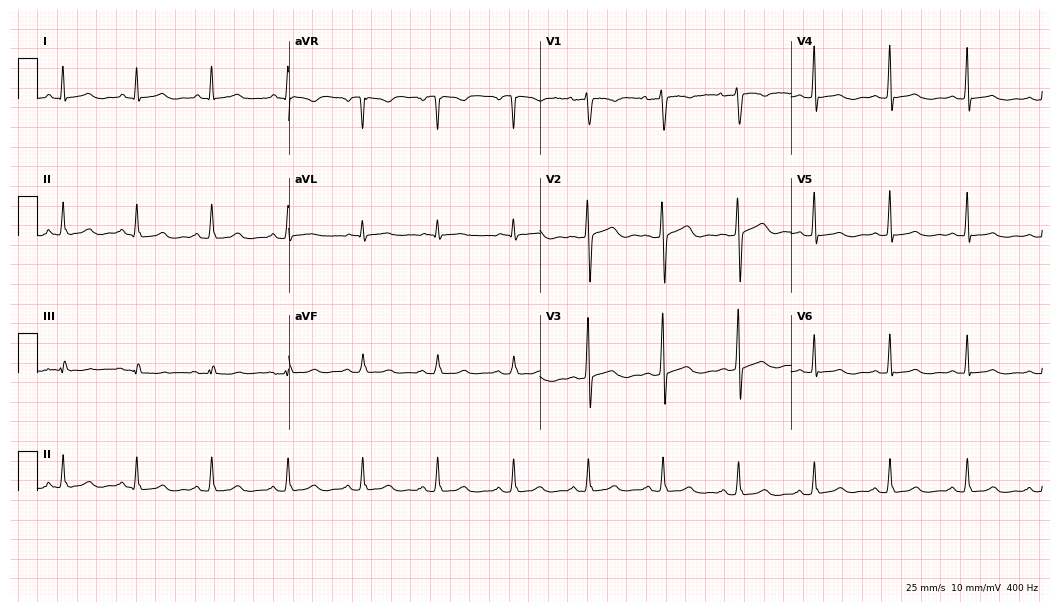
Standard 12-lead ECG recorded from a 33-year-old woman (10.2-second recording at 400 Hz). Read as a normal ECG.